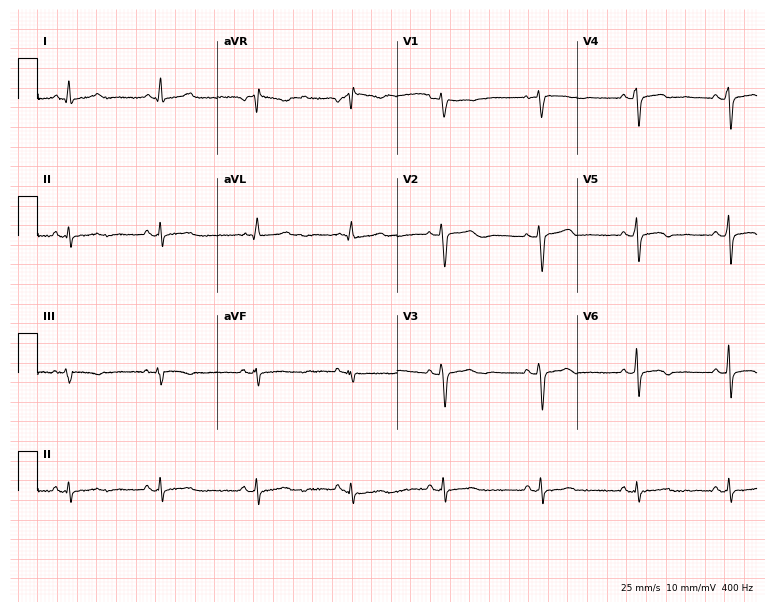
12-lead ECG from a 48-year-old woman. Recorded interpretation: within normal limits.